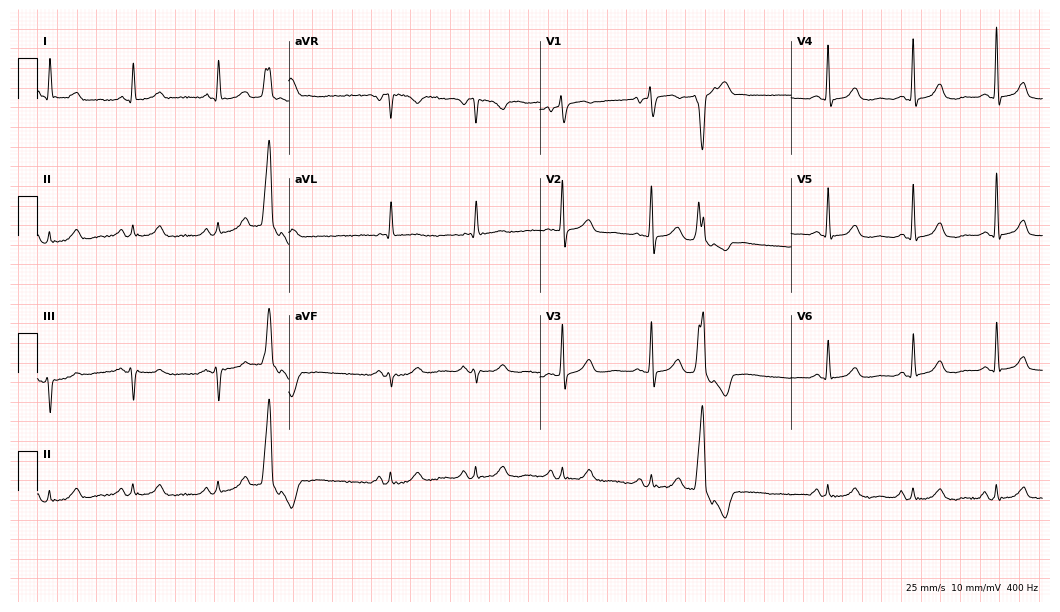
ECG — a woman, 71 years old. Screened for six findings — first-degree AV block, right bundle branch block, left bundle branch block, sinus bradycardia, atrial fibrillation, sinus tachycardia — none is recorded. Only these six findings were labelled.